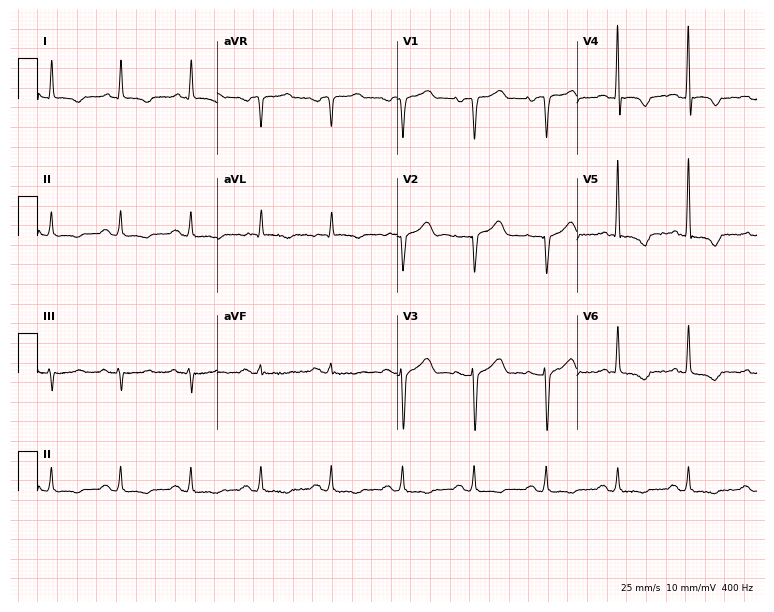
12-lead ECG from a 70-year-old male (7.3-second recording at 400 Hz). No first-degree AV block, right bundle branch block, left bundle branch block, sinus bradycardia, atrial fibrillation or sinus tachycardia recorded for this tracing.